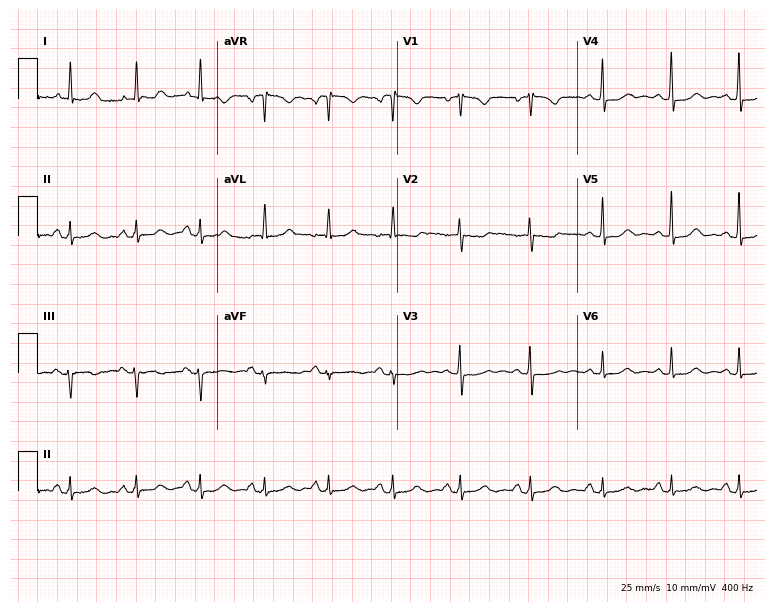
Resting 12-lead electrocardiogram. Patient: a woman, 63 years old. Read as a normal ECG.